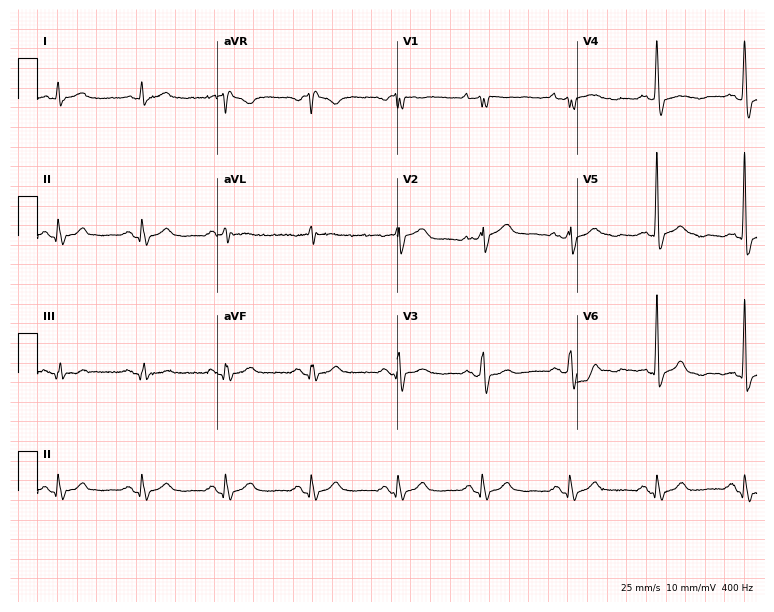
Electrocardiogram (7.3-second recording at 400 Hz), a man, 38 years old. Of the six screened findings (first-degree AV block, right bundle branch block, left bundle branch block, sinus bradycardia, atrial fibrillation, sinus tachycardia), none is recorded.